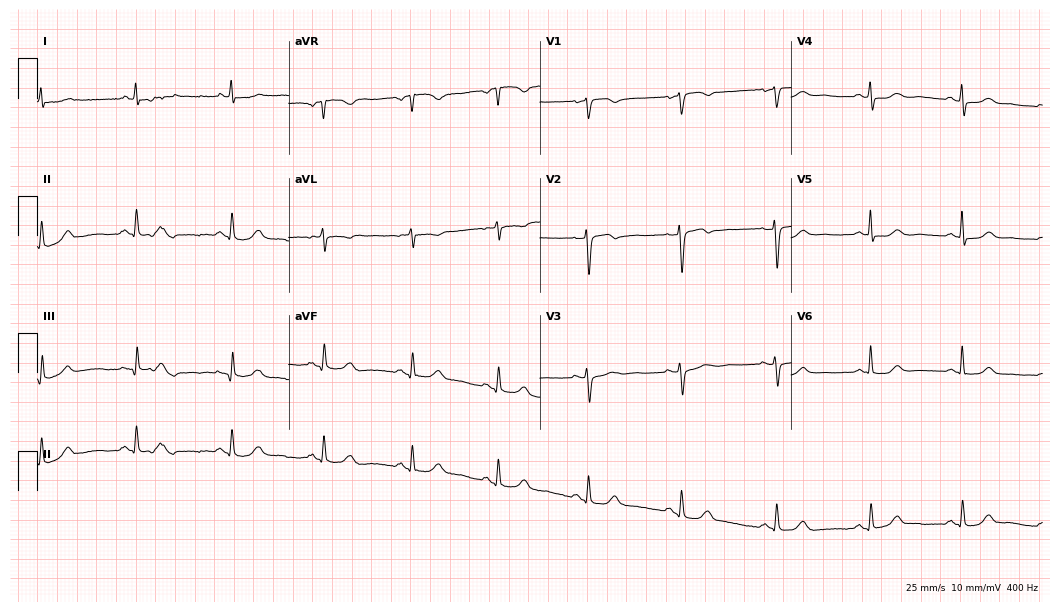
12-lead ECG from a female, 50 years old (10.2-second recording at 400 Hz). No first-degree AV block, right bundle branch block (RBBB), left bundle branch block (LBBB), sinus bradycardia, atrial fibrillation (AF) or sinus tachycardia recorded for this tracing. Other findings, if any, are not listed.